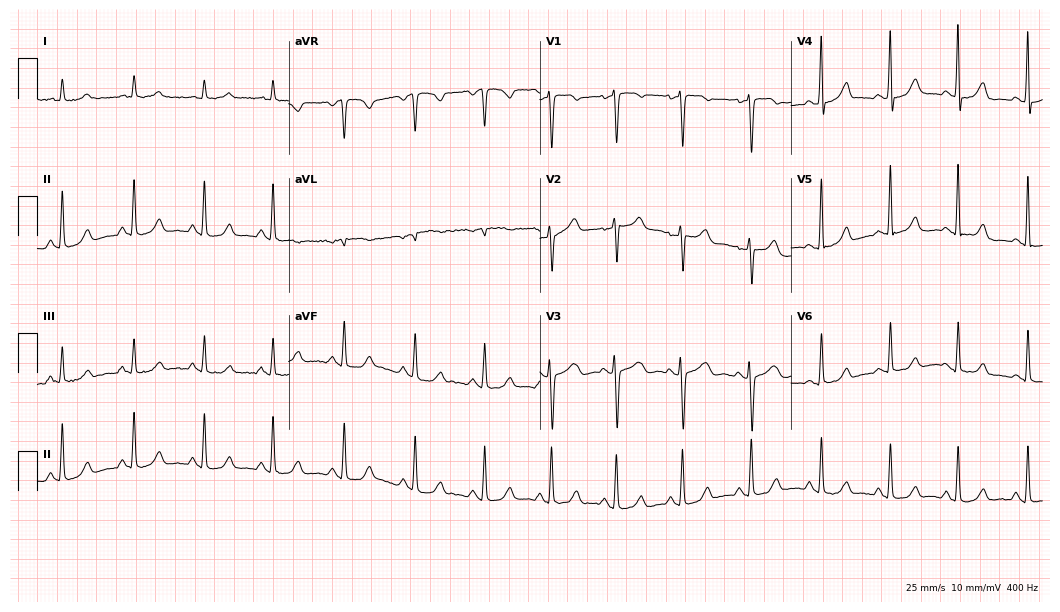
12-lead ECG from a 52-year-old woman. No first-degree AV block, right bundle branch block, left bundle branch block, sinus bradycardia, atrial fibrillation or sinus tachycardia recorded for this tracing. Only these six findings were labelled.